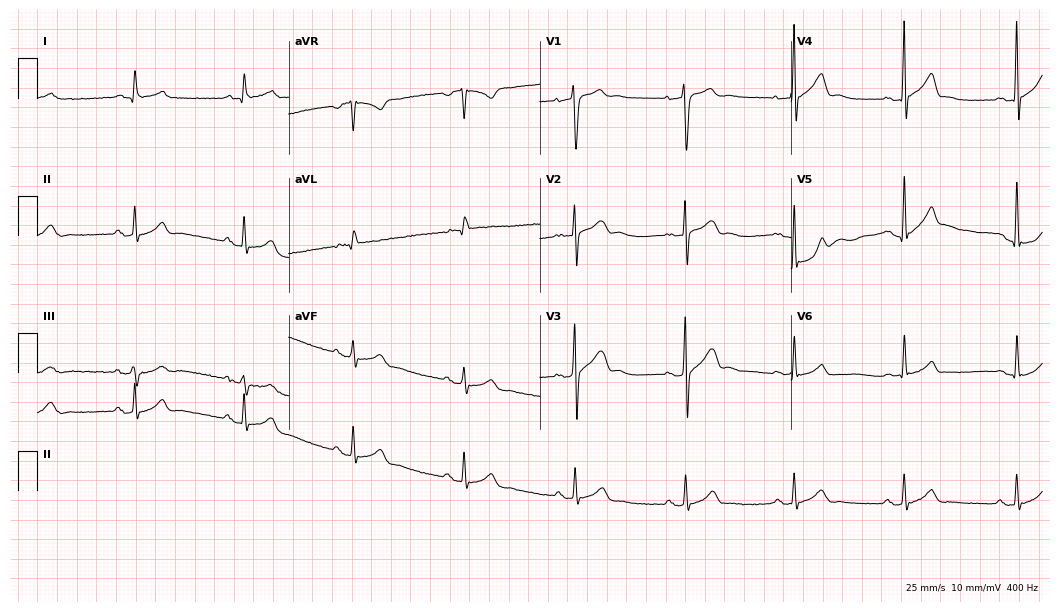
ECG — a man, 32 years old. Labelled as a normal ECG.